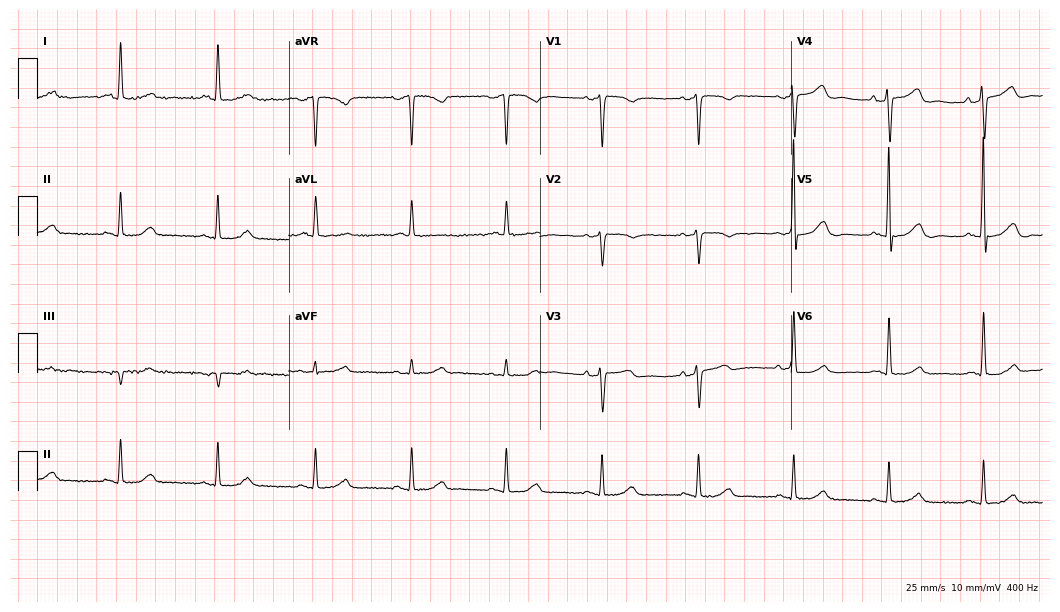
Resting 12-lead electrocardiogram. Patient: a woman, 71 years old. None of these six findings is recorded: first-degree AV block, right bundle branch block, left bundle branch block, sinus bradycardia, atrial fibrillation, sinus tachycardia. Only these six findings were labelled.